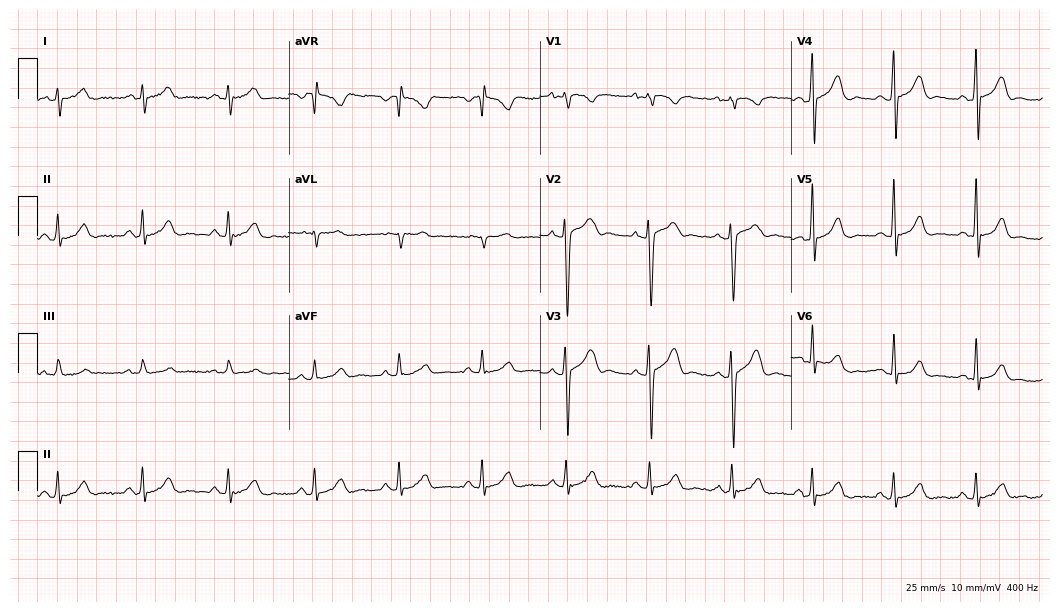
Electrocardiogram (10.2-second recording at 400 Hz), a male, 28 years old. Of the six screened findings (first-degree AV block, right bundle branch block (RBBB), left bundle branch block (LBBB), sinus bradycardia, atrial fibrillation (AF), sinus tachycardia), none is recorded.